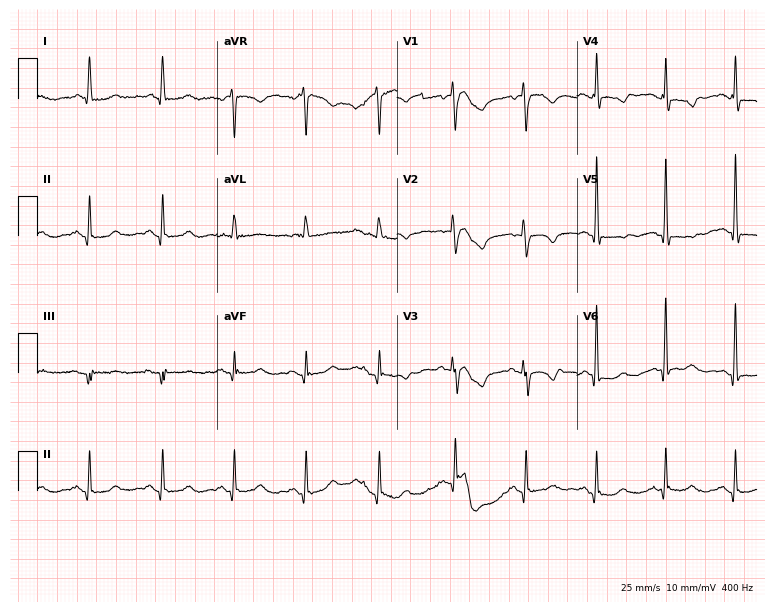
Electrocardiogram (7.3-second recording at 400 Hz), a female, 73 years old. Of the six screened findings (first-degree AV block, right bundle branch block, left bundle branch block, sinus bradycardia, atrial fibrillation, sinus tachycardia), none is recorded. Only these six findings were labelled.